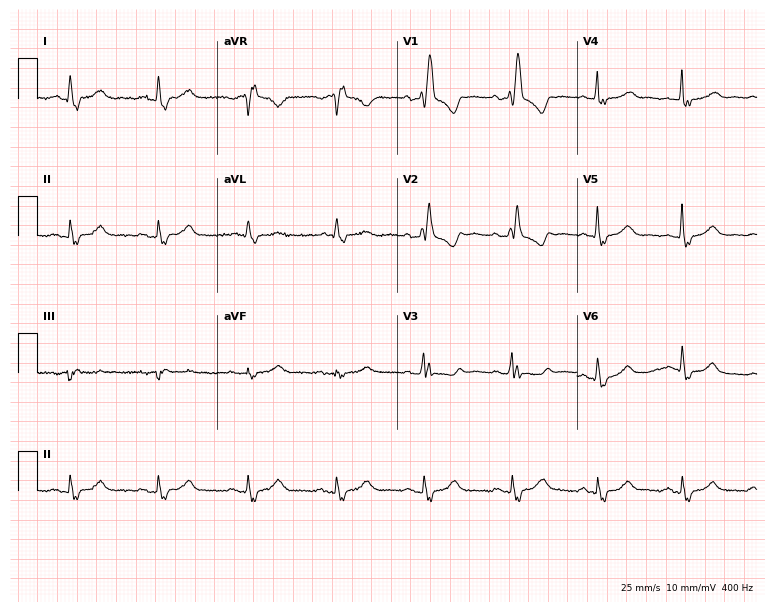
ECG — a woman, 69 years old. Findings include right bundle branch block.